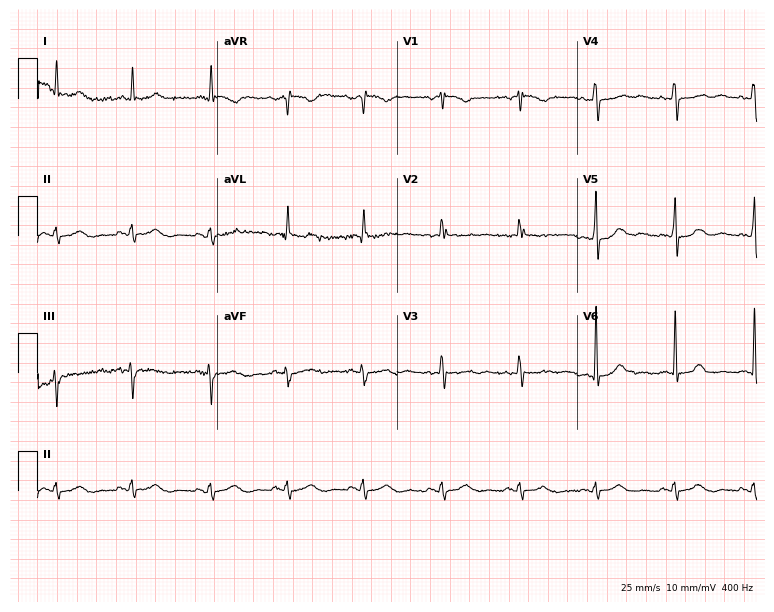
12-lead ECG (7.3-second recording at 400 Hz) from a 68-year-old female patient. Screened for six findings — first-degree AV block, right bundle branch block (RBBB), left bundle branch block (LBBB), sinus bradycardia, atrial fibrillation (AF), sinus tachycardia — none is recorded. Other findings, if any, are not listed.